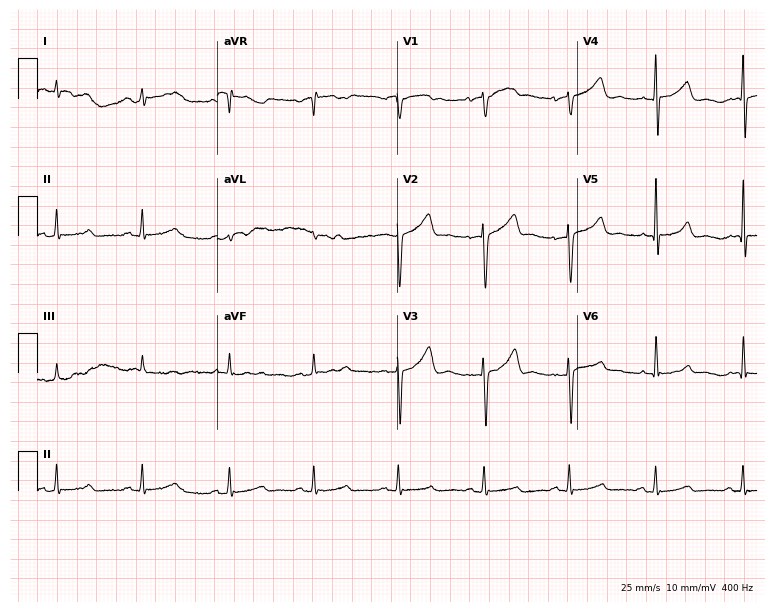
Resting 12-lead electrocardiogram (7.3-second recording at 400 Hz). Patient: an 81-year-old female. None of these six findings is recorded: first-degree AV block, right bundle branch block, left bundle branch block, sinus bradycardia, atrial fibrillation, sinus tachycardia.